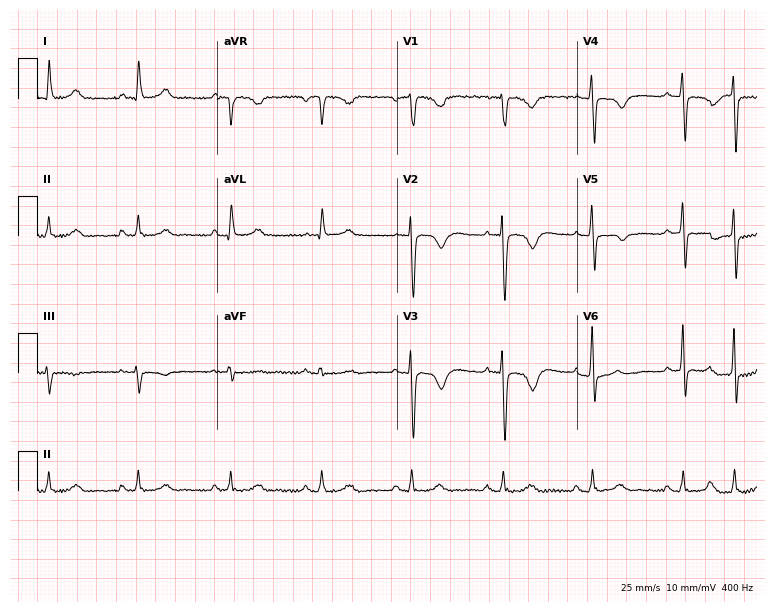
12-lead ECG from an 85-year-old man (7.3-second recording at 400 Hz). No first-degree AV block, right bundle branch block, left bundle branch block, sinus bradycardia, atrial fibrillation or sinus tachycardia recorded for this tracing.